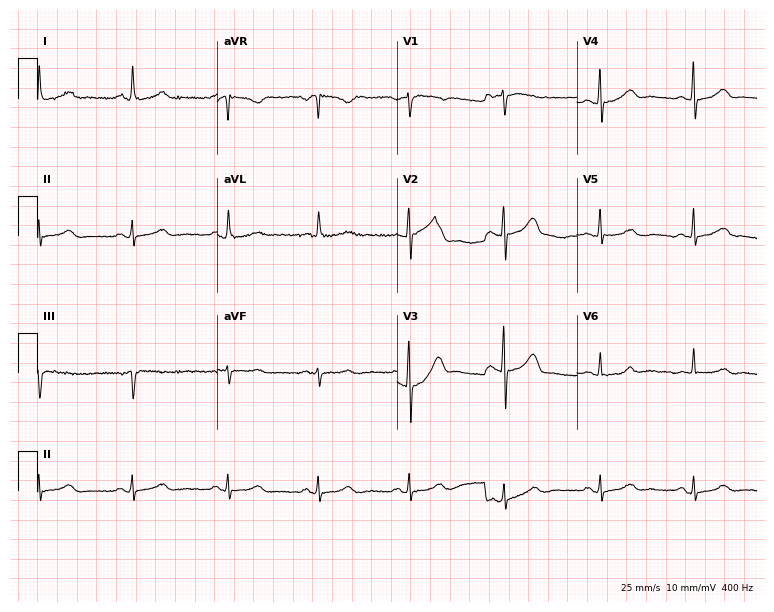
ECG (7.3-second recording at 400 Hz) — a 53-year-old female patient. Screened for six findings — first-degree AV block, right bundle branch block (RBBB), left bundle branch block (LBBB), sinus bradycardia, atrial fibrillation (AF), sinus tachycardia — none is recorded. Findings outside these six are not listed.